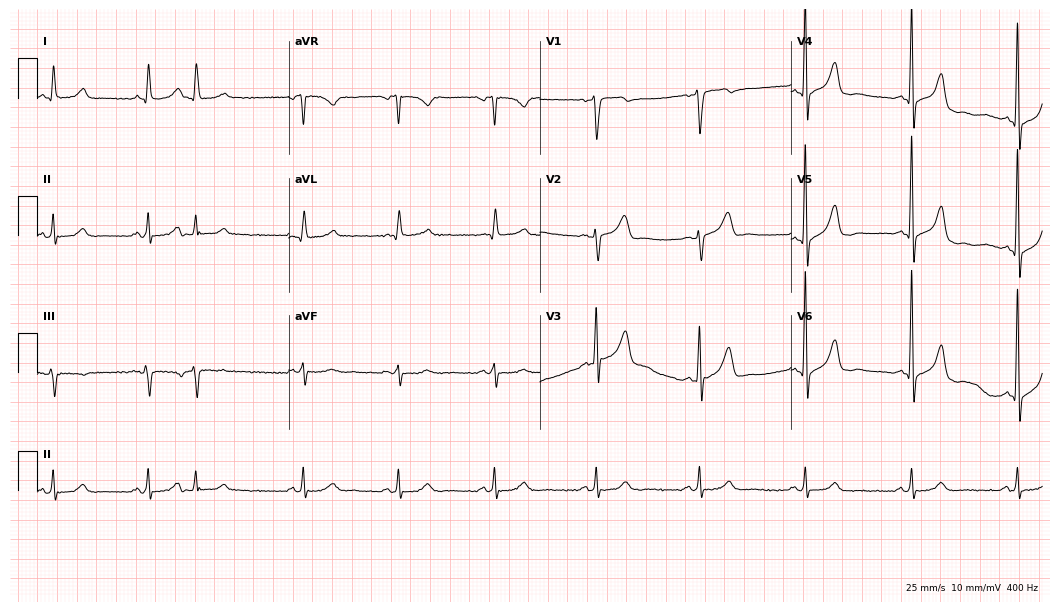
Resting 12-lead electrocardiogram (10.2-second recording at 400 Hz). Patient: a 72-year-old male. Read as a normal ECG.